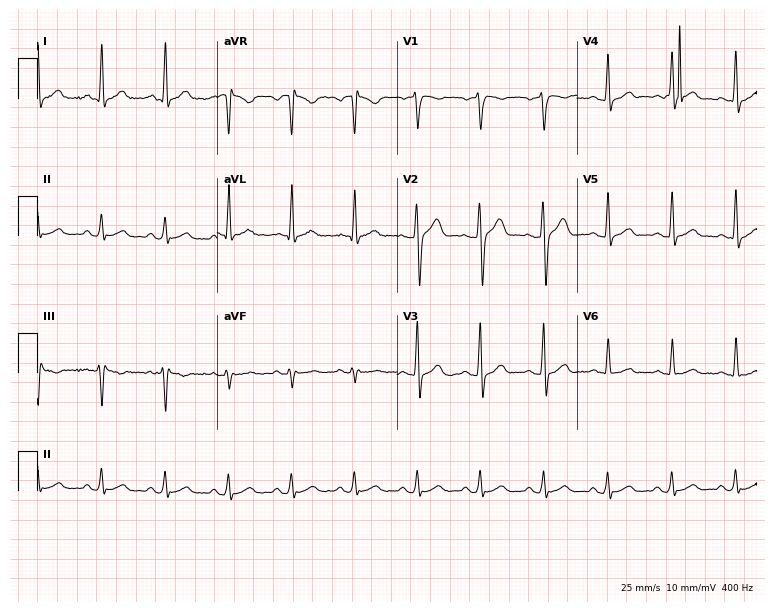
Standard 12-lead ECG recorded from a male patient, 34 years old. None of these six findings is recorded: first-degree AV block, right bundle branch block, left bundle branch block, sinus bradycardia, atrial fibrillation, sinus tachycardia. Only these six findings were labelled.